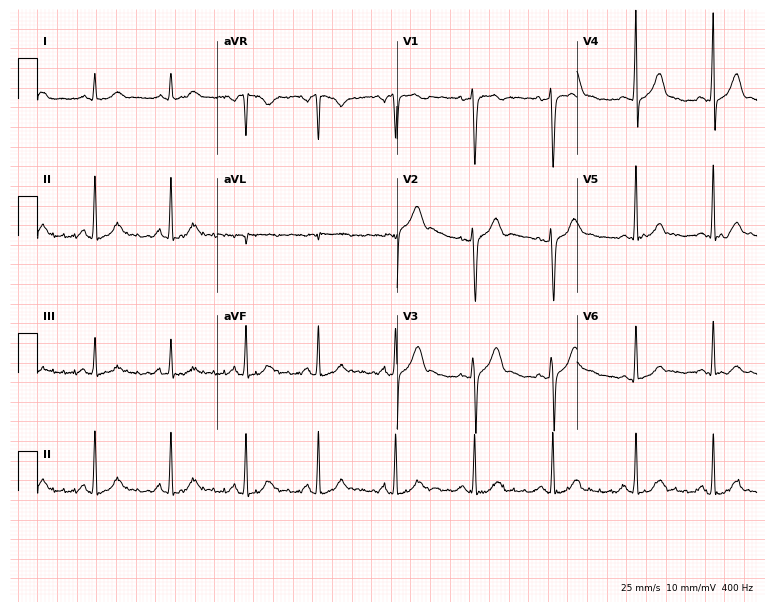
Electrocardiogram, a man, 24 years old. Of the six screened findings (first-degree AV block, right bundle branch block, left bundle branch block, sinus bradycardia, atrial fibrillation, sinus tachycardia), none is recorded. Findings outside these six are not listed.